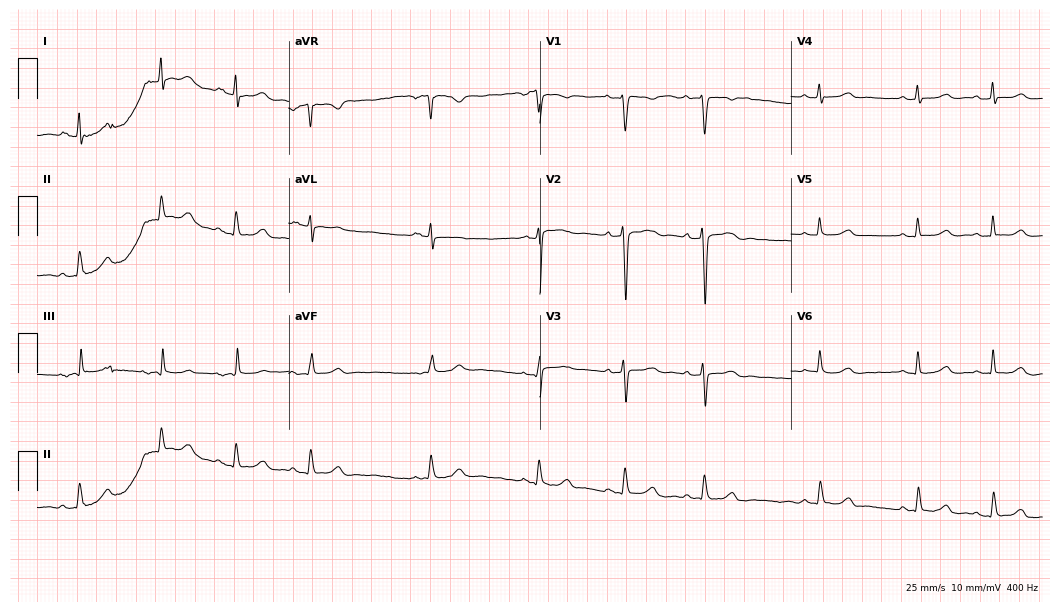
12-lead ECG from a 43-year-old female. Labelled as a normal ECG.